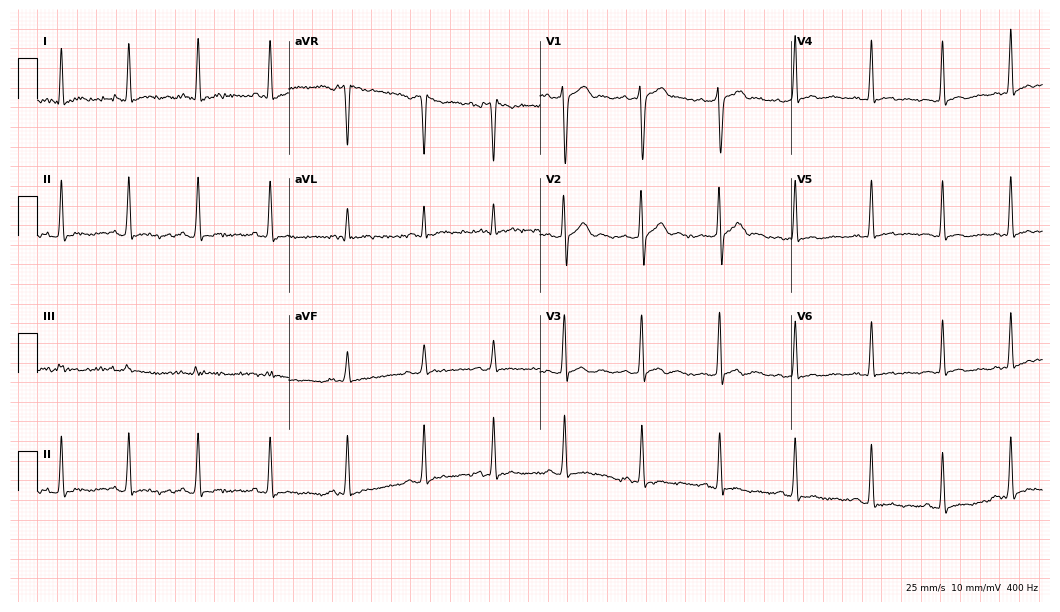
Standard 12-lead ECG recorded from a 22-year-old male patient. Read as a normal ECG.